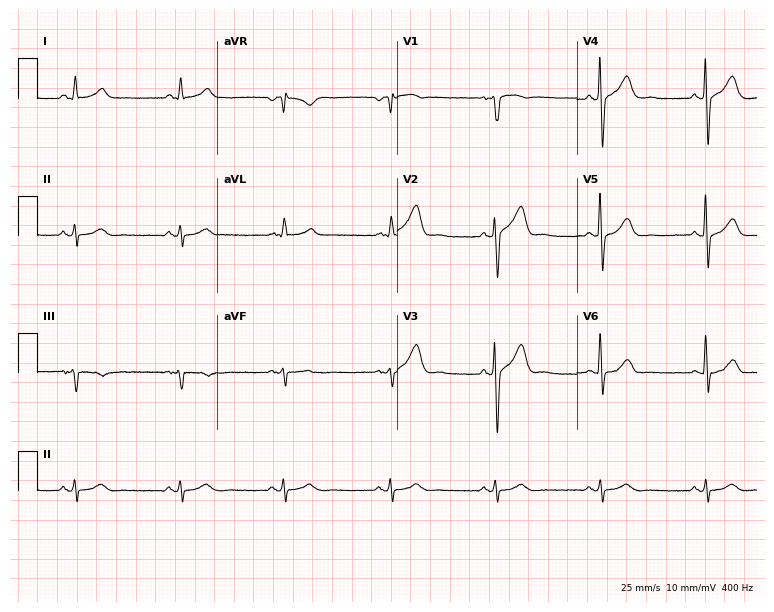
ECG (7.3-second recording at 400 Hz) — a 58-year-old male. Screened for six findings — first-degree AV block, right bundle branch block, left bundle branch block, sinus bradycardia, atrial fibrillation, sinus tachycardia — none is recorded. Other findings, if any, are not listed.